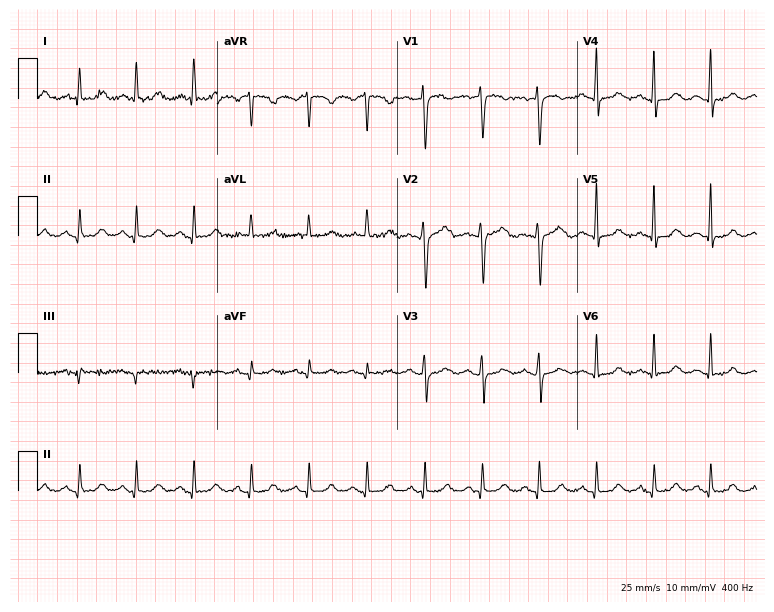
Standard 12-lead ECG recorded from a woman, 46 years old (7.3-second recording at 400 Hz). The tracing shows sinus tachycardia (a sinus rate of 100 beats per minute or more).